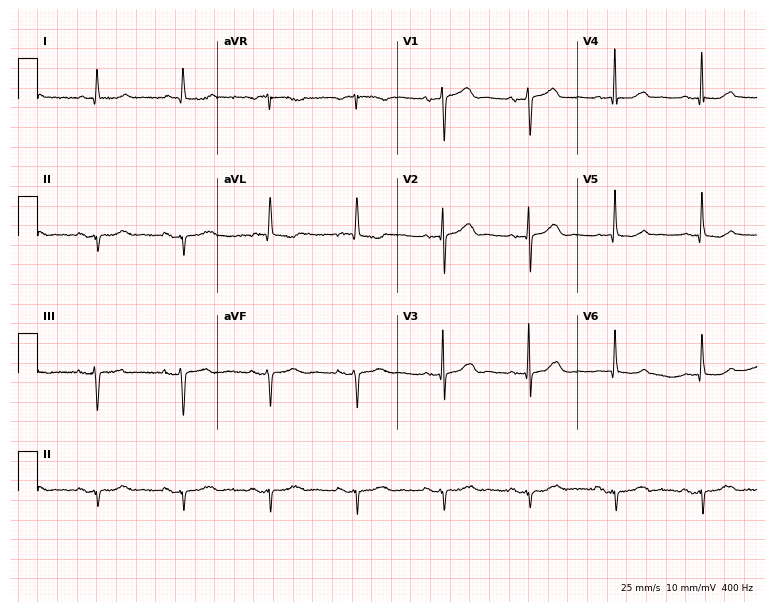
12-lead ECG from a woman, 83 years old. No first-degree AV block, right bundle branch block (RBBB), left bundle branch block (LBBB), sinus bradycardia, atrial fibrillation (AF) or sinus tachycardia recorded for this tracing. Findings outside these six are not listed.